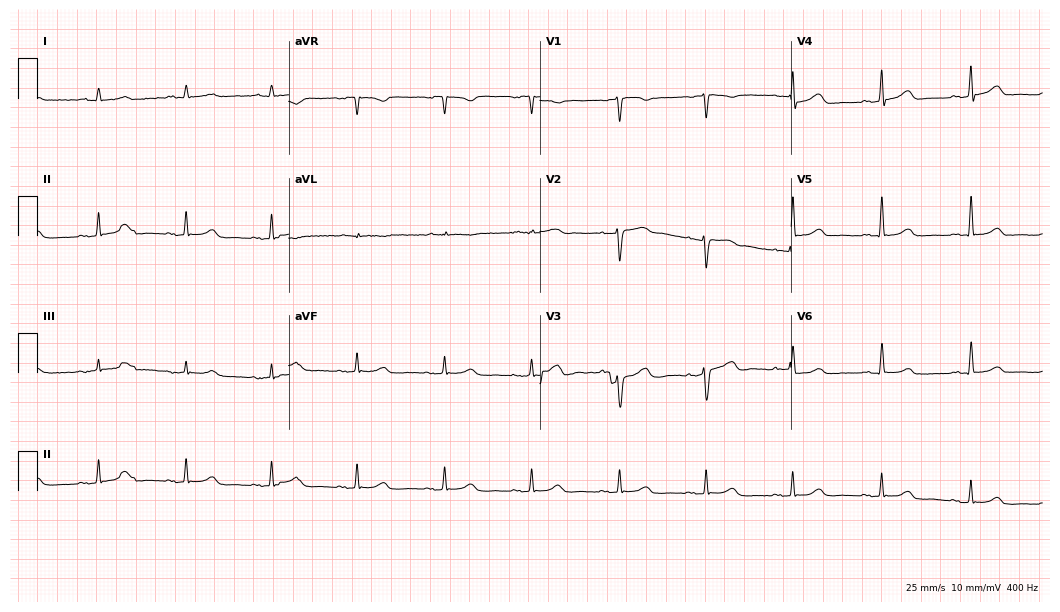
12-lead ECG (10.2-second recording at 400 Hz) from a female patient, 60 years old. Labelled as a normal ECG.